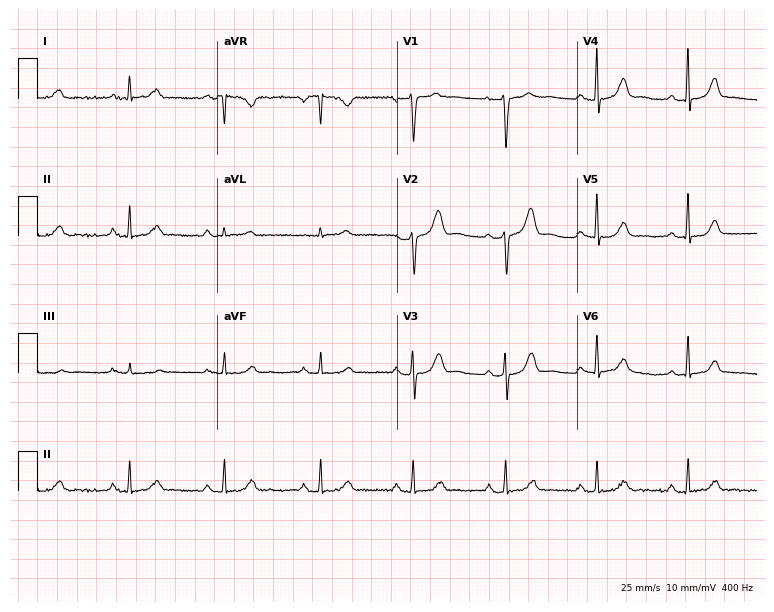
ECG — a 55-year-old woman. Screened for six findings — first-degree AV block, right bundle branch block (RBBB), left bundle branch block (LBBB), sinus bradycardia, atrial fibrillation (AF), sinus tachycardia — none is recorded.